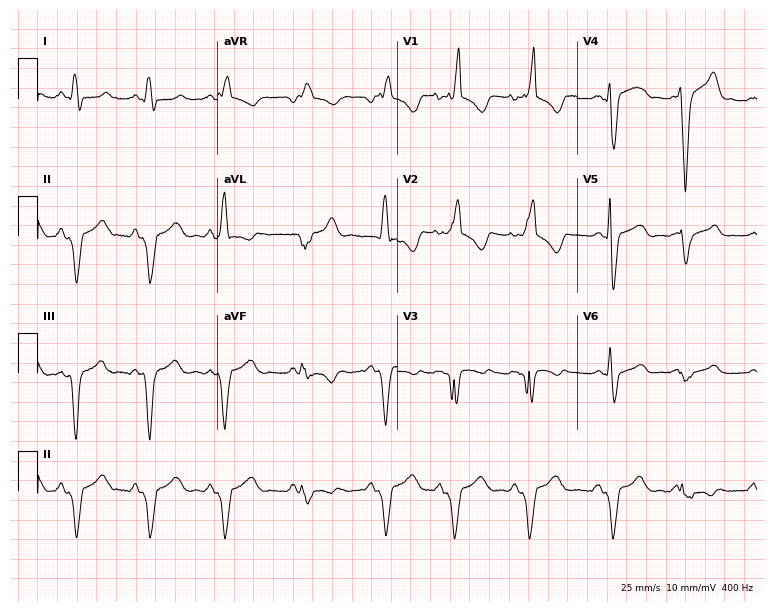
ECG (7.3-second recording at 400 Hz) — a female, 53 years old. Findings include right bundle branch block (RBBB).